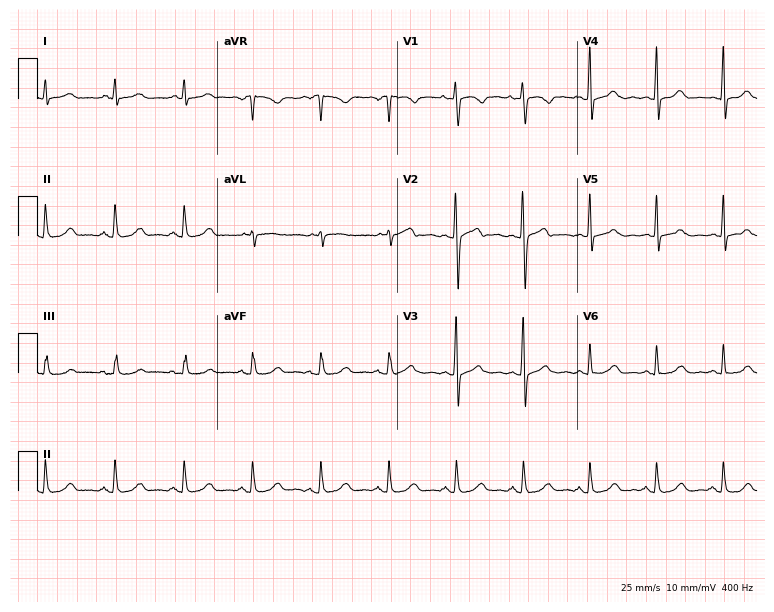
ECG — a 56-year-old female patient. Labelled as a normal ECG.